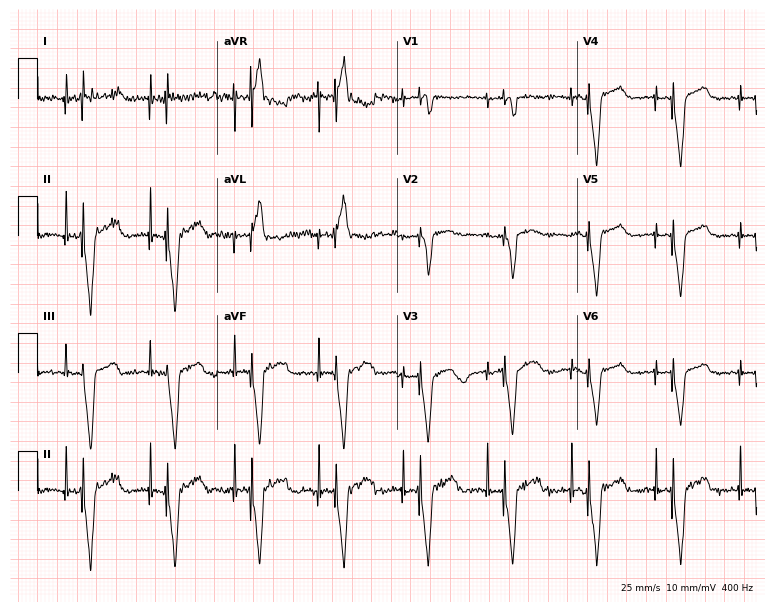
ECG (7.3-second recording at 400 Hz) — a female patient, 65 years old. Screened for six findings — first-degree AV block, right bundle branch block, left bundle branch block, sinus bradycardia, atrial fibrillation, sinus tachycardia — none is recorded. Other findings, if any, are not listed.